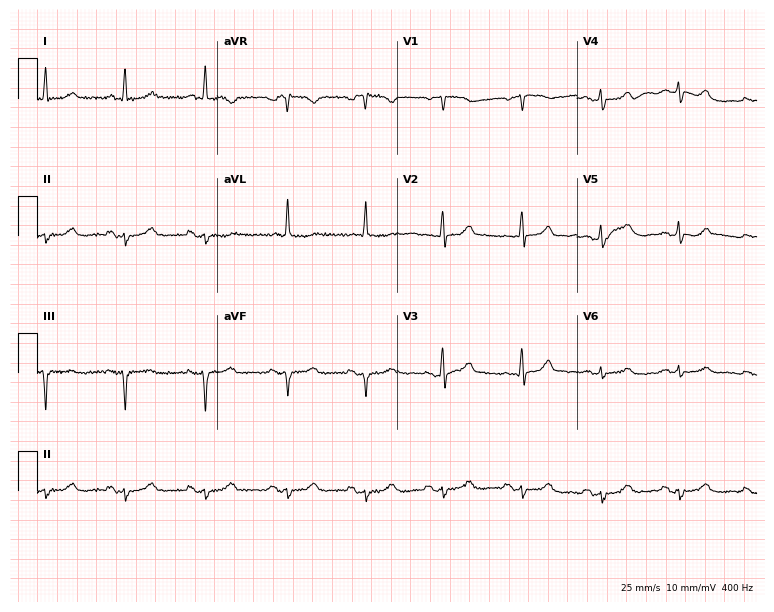
Resting 12-lead electrocardiogram. Patient: a female, 57 years old. None of these six findings is recorded: first-degree AV block, right bundle branch block, left bundle branch block, sinus bradycardia, atrial fibrillation, sinus tachycardia.